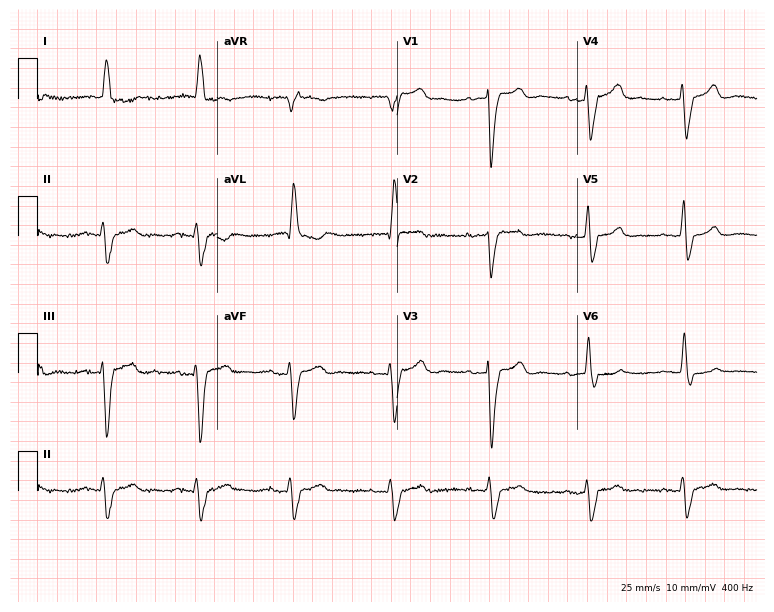
Resting 12-lead electrocardiogram (7.3-second recording at 400 Hz). Patient: a female, 87 years old. The tracing shows first-degree AV block, left bundle branch block.